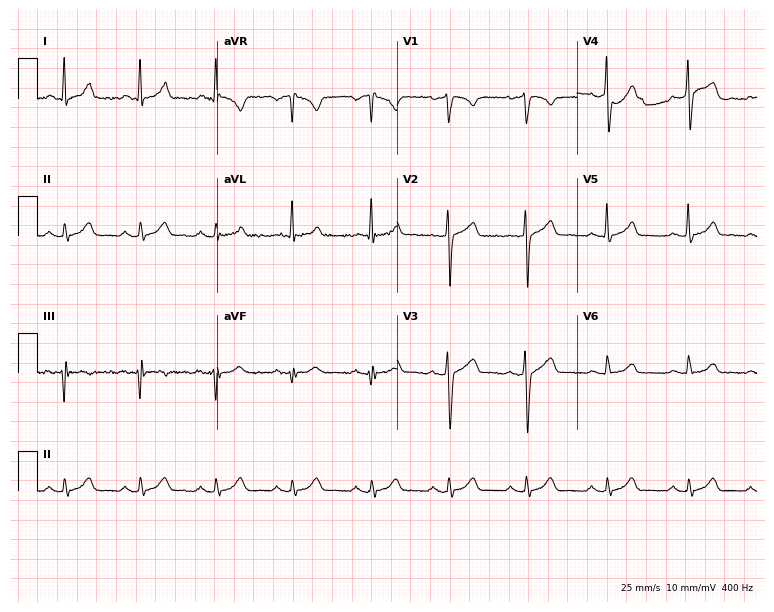
Electrocardiogram, a male, 30 years old. Overall reading on record: normal ECG.